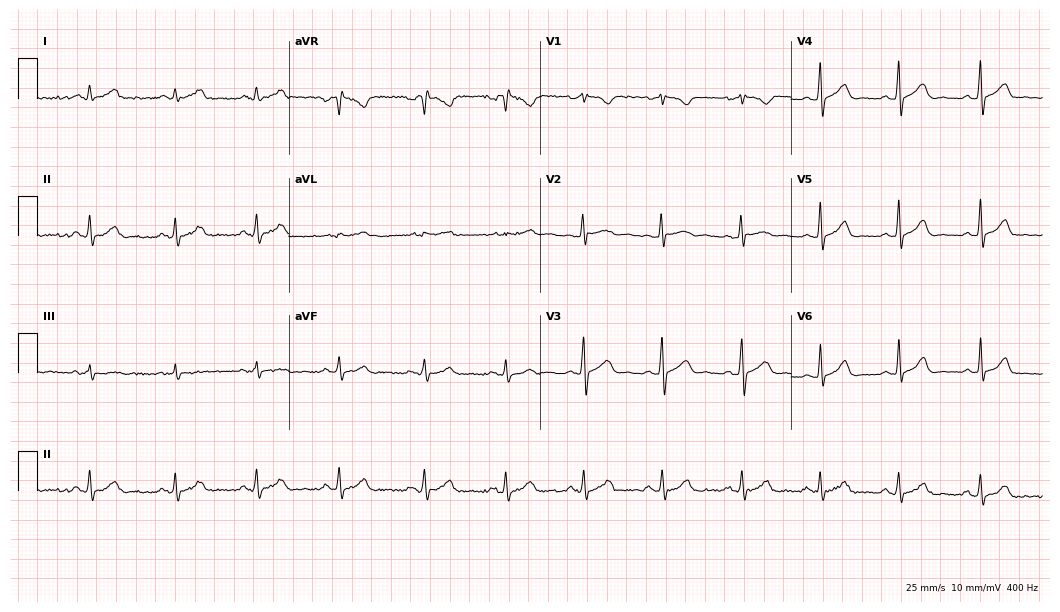
ECG — a woman, 22 years old. Screened for six findings — first-degree AV block, right bundle branch block, left bundle branch block, sinus bradycardia, atrial fibrillation, sinus tachycardia — none is recorded. Findings outside these six are not listed.